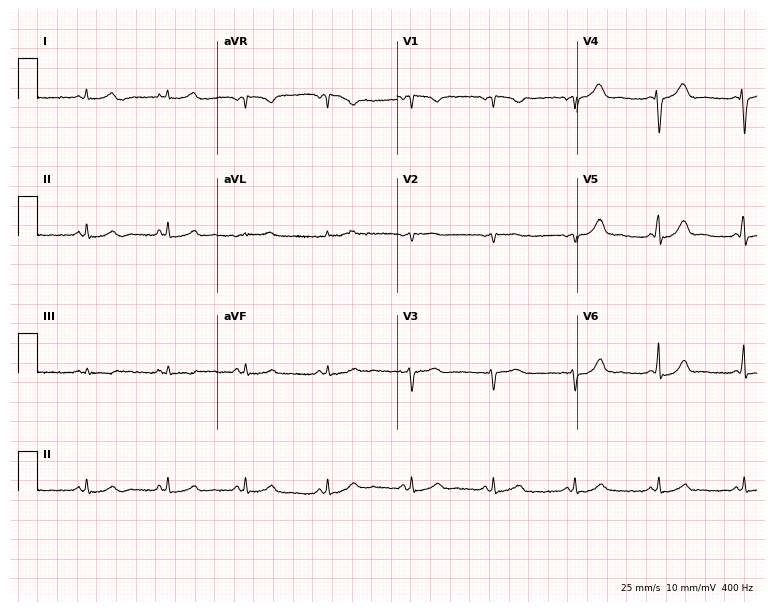
Electrocardiogram (7.3-second recording at 400 Hz), a 31-year-old woman. Of the six screened findings (first-degree AV block, right bundle branch block (RBBB), left bundle branch block (LBBB), sinus bradycardia, atrial fibrillation (AF), sinus tachycardia), none is recorded.